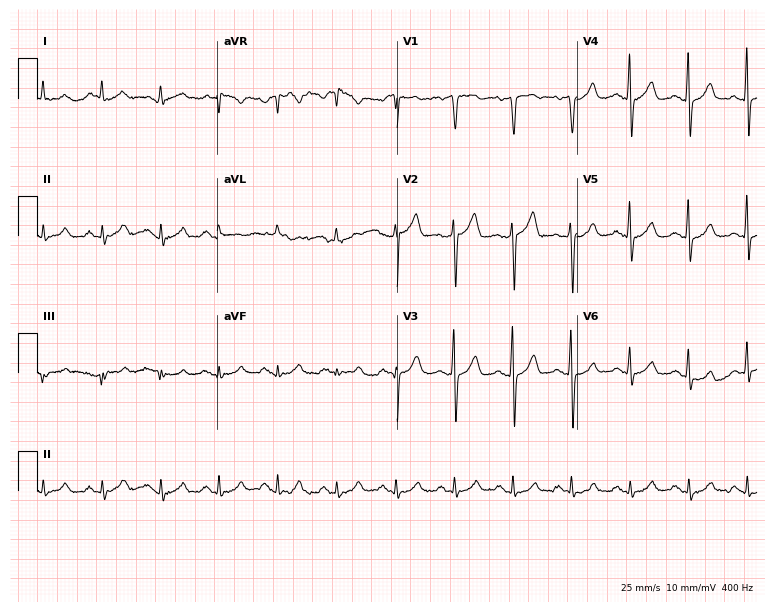
12-lead ECG from a male, 61 years old (7.3-second recording at 400 Hz). No first-degree AV block, right bundle branch block (RBBB), left bundle branch block (LBBB), sinus bradycardia, atrial fibrillation (AF) or sinus tachycardia recorded for this tracing. Findings outside these six are not listed.